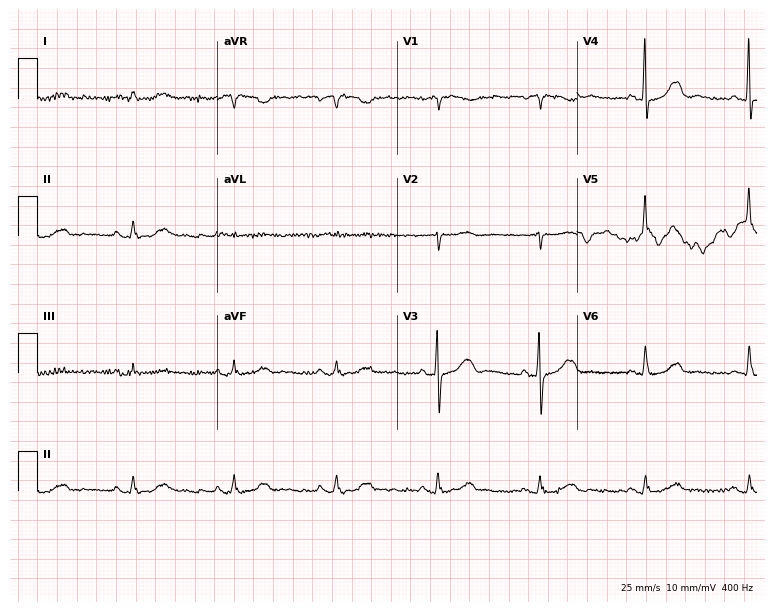
12-lead ECG (7.3-second recording at 400 Hz) from a female, 75 years old. Screened for six findings — first-degree AV block, right bundle branch block, left bundle branch block, sinus bradycardia, atrial fibrillation, sinus tachycardia — none is recorded. Only these six findings were labelled.